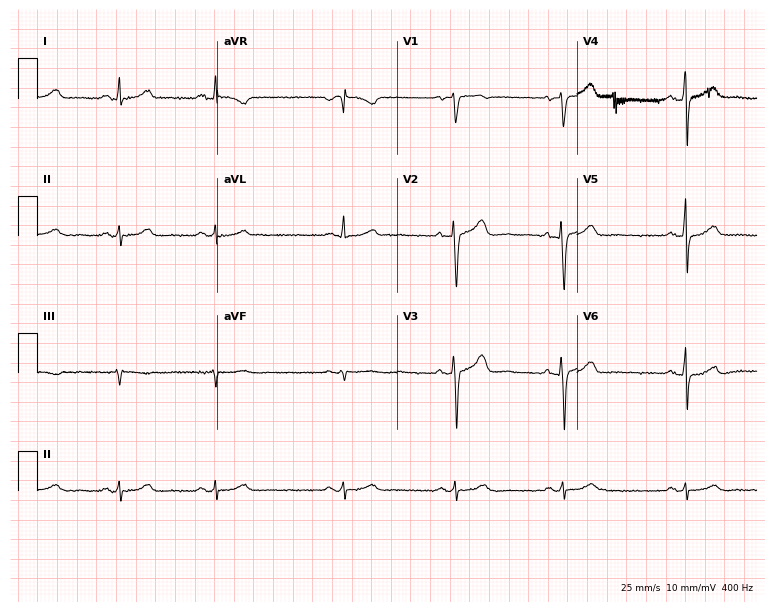
12-lead ECG (7.3-second recording at 400 Hz) from a 41-year-old female. Screened for six findings — first-degree AV block, right bundle branch block, left bundle branch block, sinus bradycardia, atrial fibrillation, sinus tachycardia — none is recorded. Only these six findings were labelled.